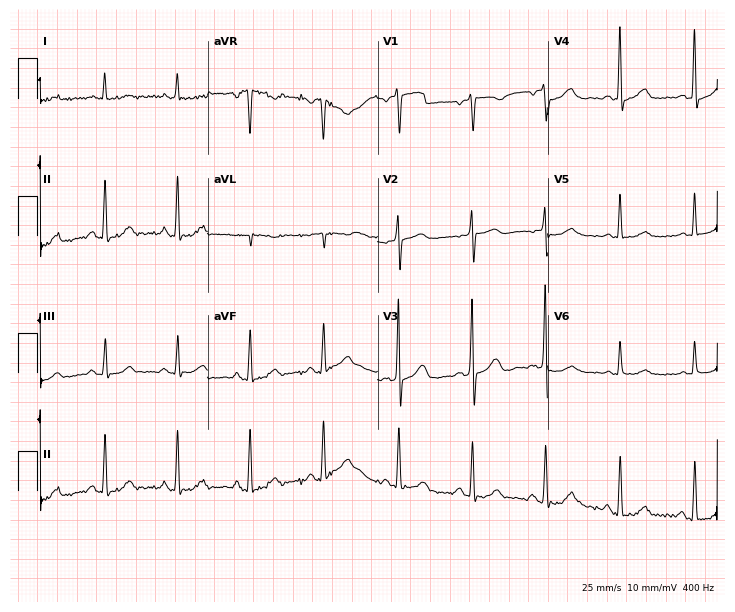
Standard 12-lead ECG recorded from a female, 73 years old (6.9-second recording at 400 Hz). None of these six findings is recorded: first-degree AV block, right bundle branch block (RBBB), left bundle branch block (LBBB), sinus bradycardia, atrial fibrillation (AF), sinus tachycardia.